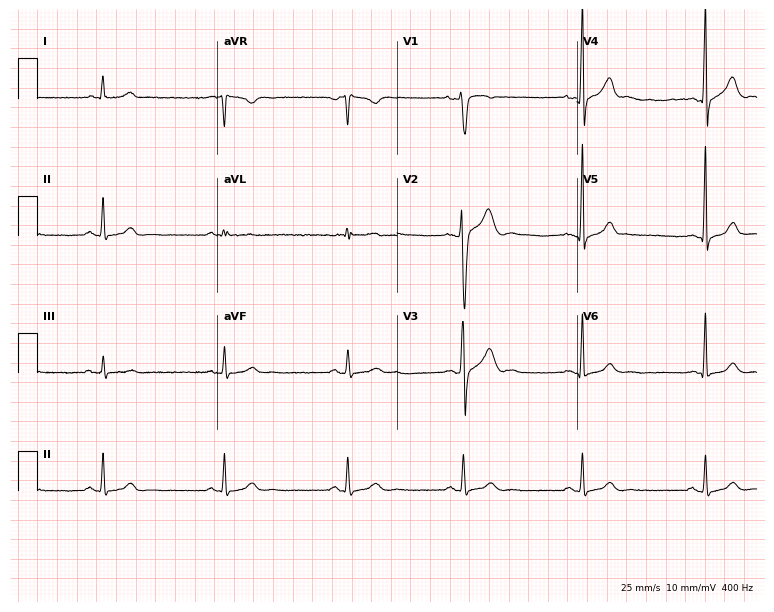
12-lead ECG (7.3-second recording at 400 Hz) from a 29-year-old male patient. Screened for six findings — first-degree AV block, right bundle branch block, left bundle branch block, sinus bradycardia, atrial fibrillation, sinus tachycardia — none is recorded.